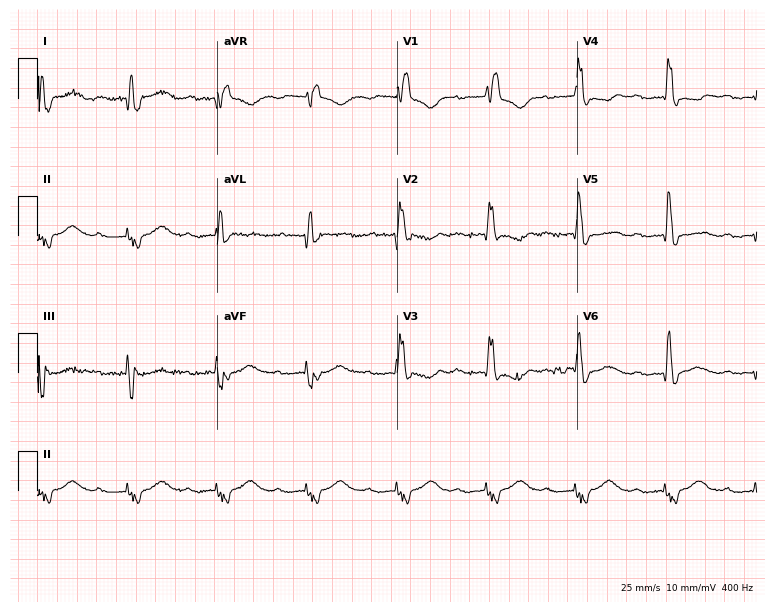
12-lead ECG from a 74-year-old female patient. Shows first-degree AV block, right bundle branch block.